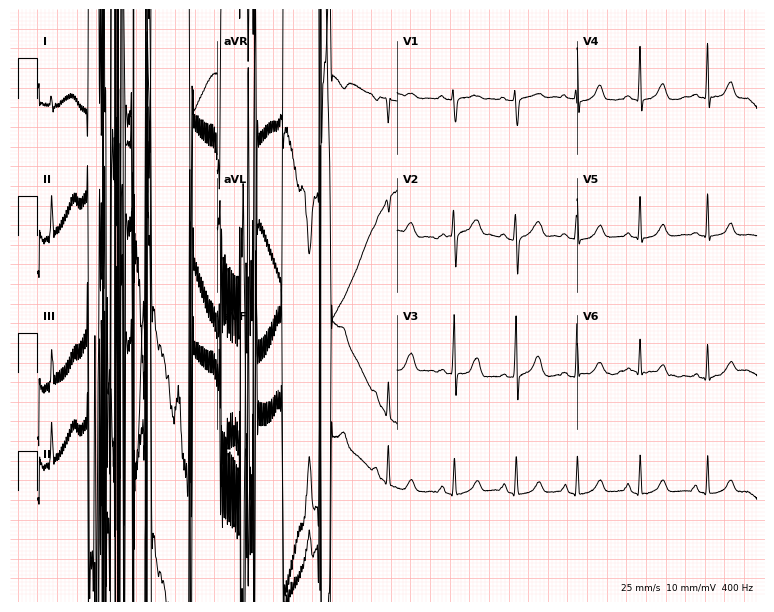
12-lead ECG from a 29-year-old woman. Screened for six findings — first-degree AV block, right bundle branch block (RBBB), left bundle branch block (LBBB), sinus bradycardia, atrial fibrillation (AF), sinus tachycardia — none is recorded. Other findings, if any, are not listed.